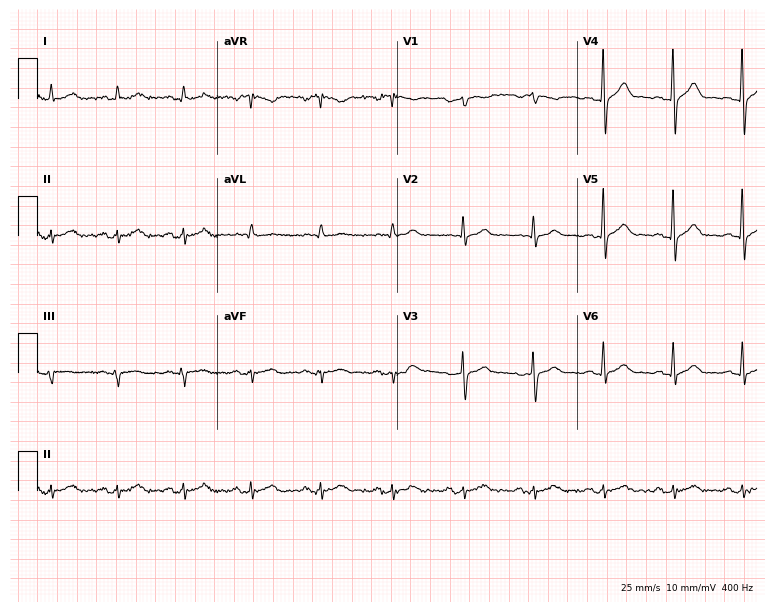
Standard 12-lead ECG recorded from a man, 53 years old. Read as a normal ECG.